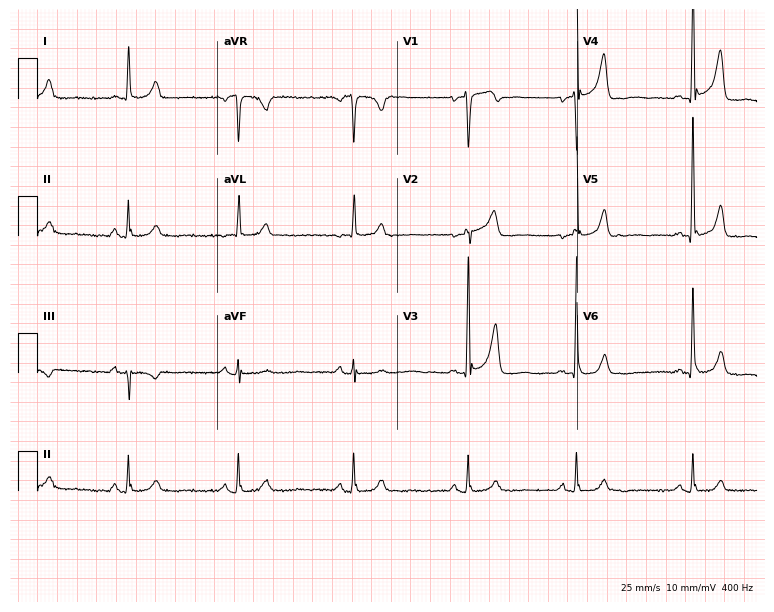
Resting 12-lead electrocardiogram (7.3-second recording at 400 Hz). Patient: a 71-year-old male. None of these six findings is recorded: first-degree AV block, right bundle branch block, left bundle branch block, sinus bradycardia, atrial fibrillation, sinus tachycardia.